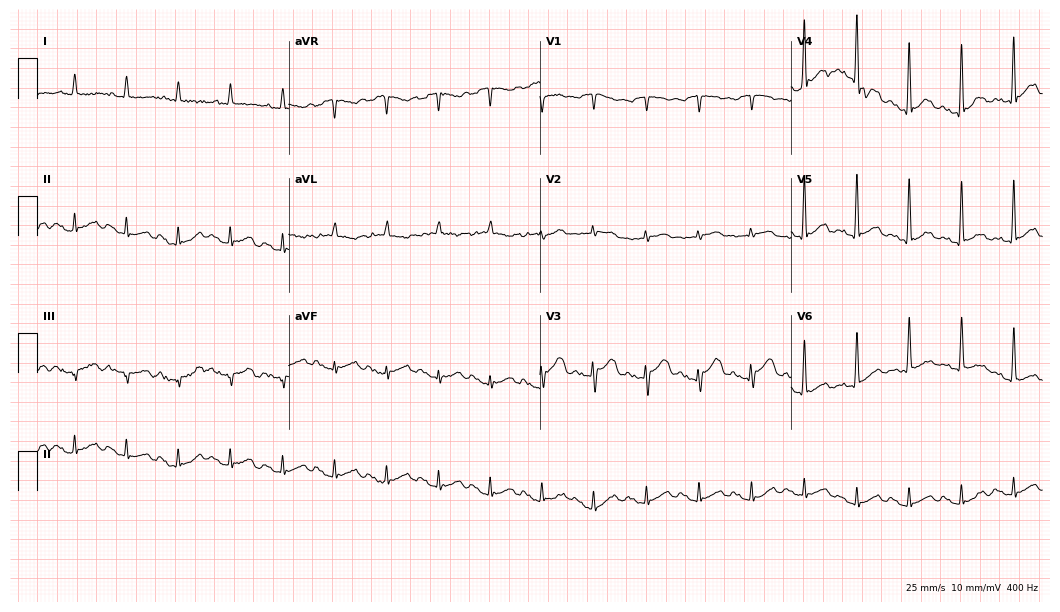
Electrocardiogram, a male patient, 76 years old. Interpretation includes sinus tachycardia (a sinus rate of 100 beats per minute or more).